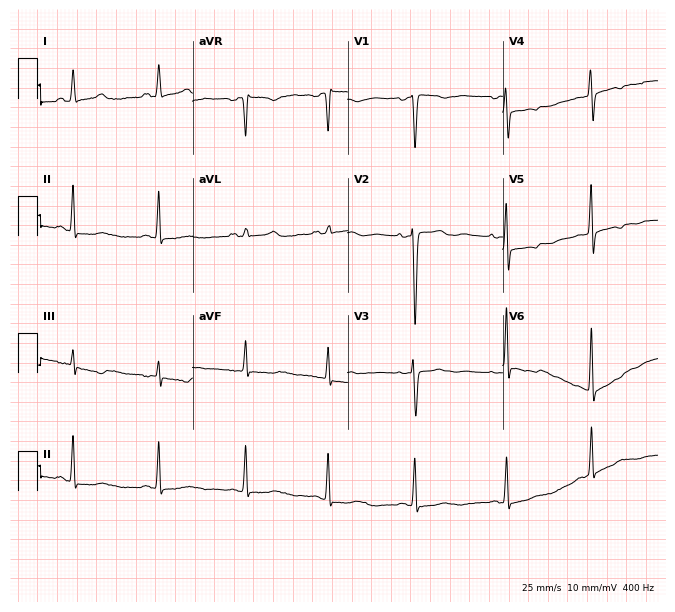
Standard 12-lead ECG recorded from a 49-year-old woman (6.3-second recording at 400 Hz). None of these six findings is recorded: first-degree AV block, right bundle branch block, left bundle branch block, sinus bradycardia, atrial fibrillation, sinus tachycardia.